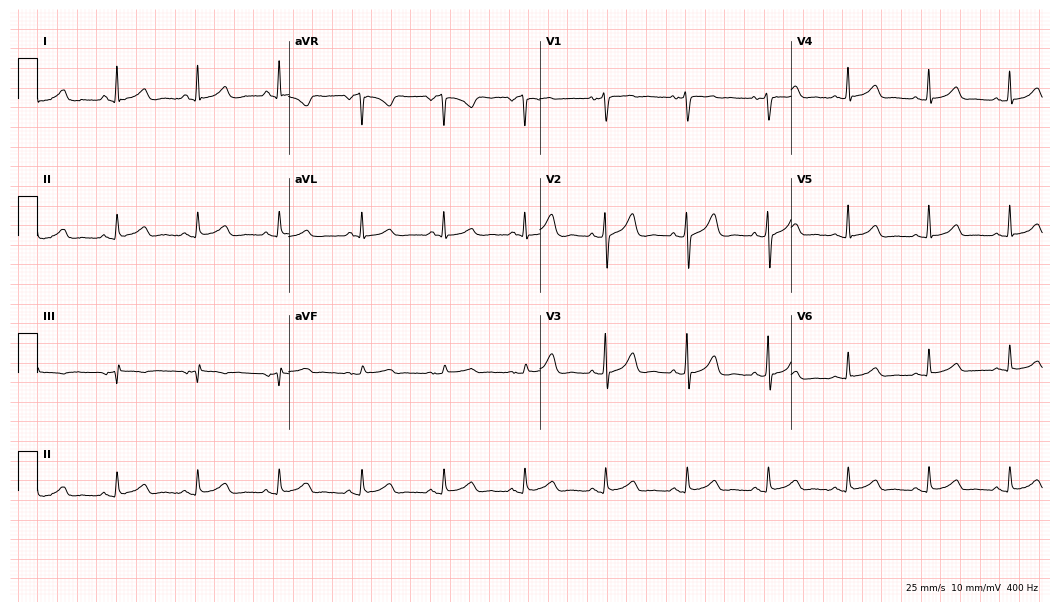
12-lead ECG from a 64-year-old woman (10.2-second recording at 400 Hz). Recorded interpretation: within normal limits.